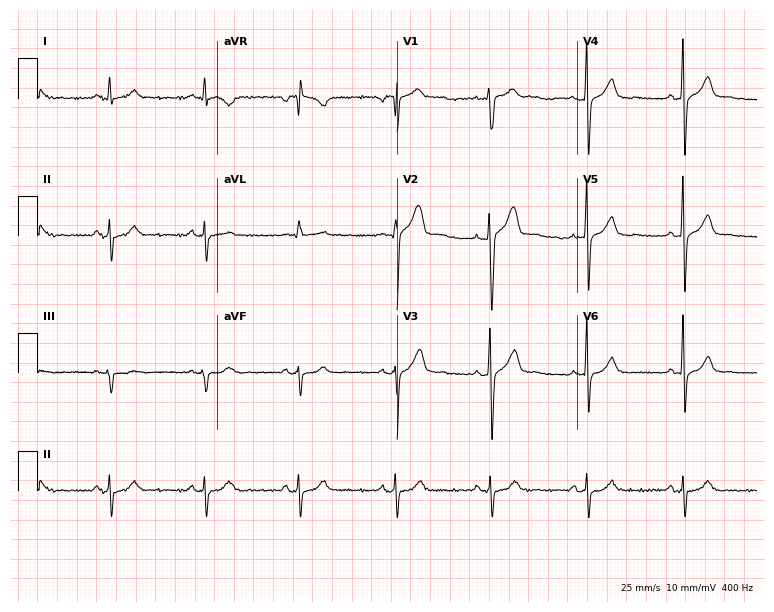
Standard 12-lead ECG recorded from a male patient, 42 years old. None of these six findings is recorded: first-degree AV block, right bundle branch block, left bundle branch block, sinus bradycardia, atrial fibrillation, sinus tachycardia.